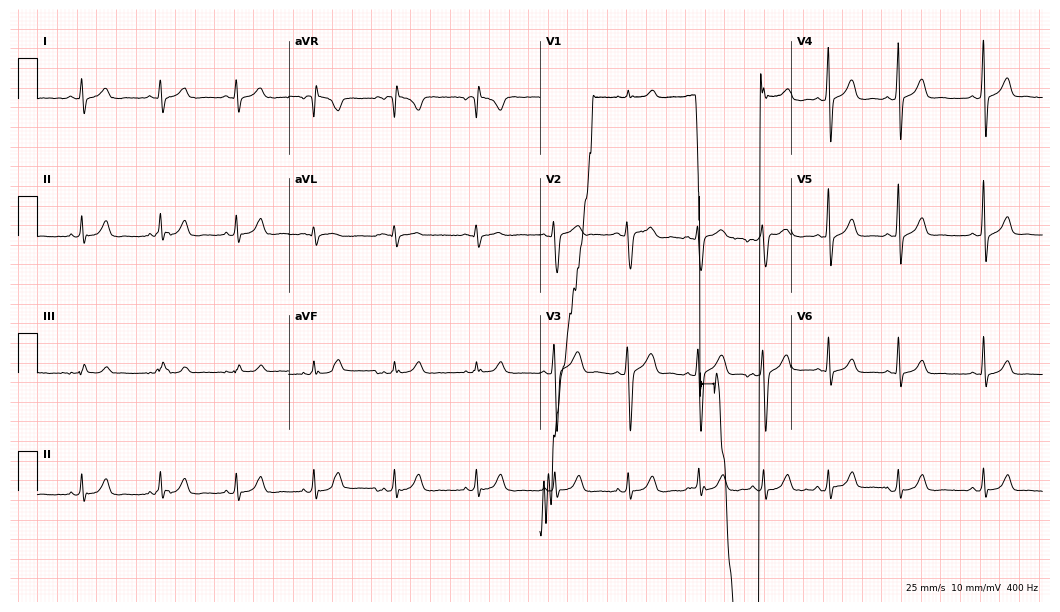
Resting 12-lead electrocardiogram (10.2-second recording at 400 Hz). Patient: a 20-year-old male. Read as a normal ECG.